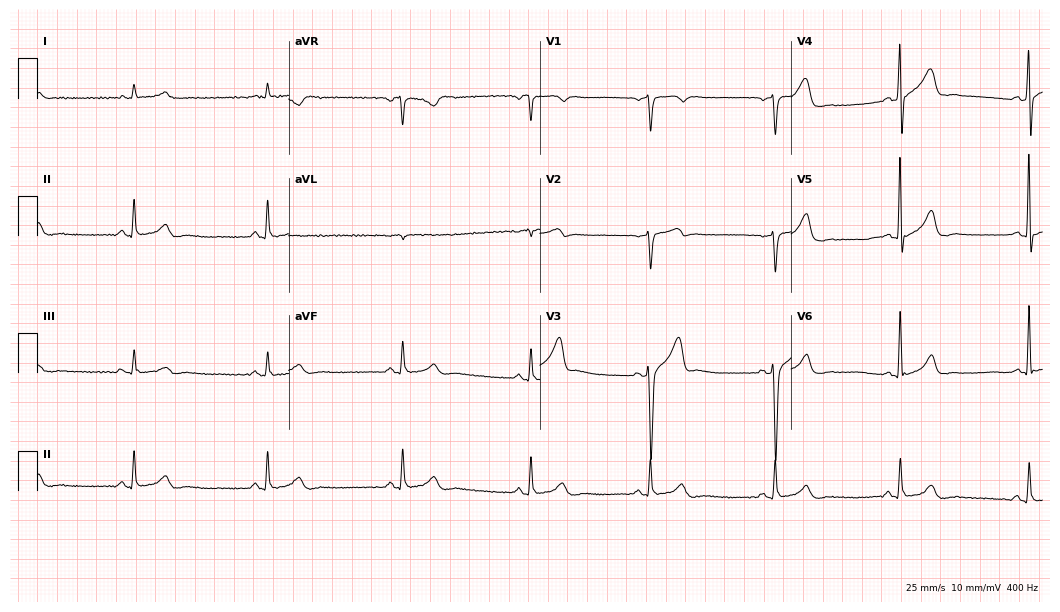
Electrocardiogram (10.2-second recording at 400 Hz), a male, 52 years old. Interpretation includes sinus bradycardia (a sinus rate of 50 beats per minute or less).